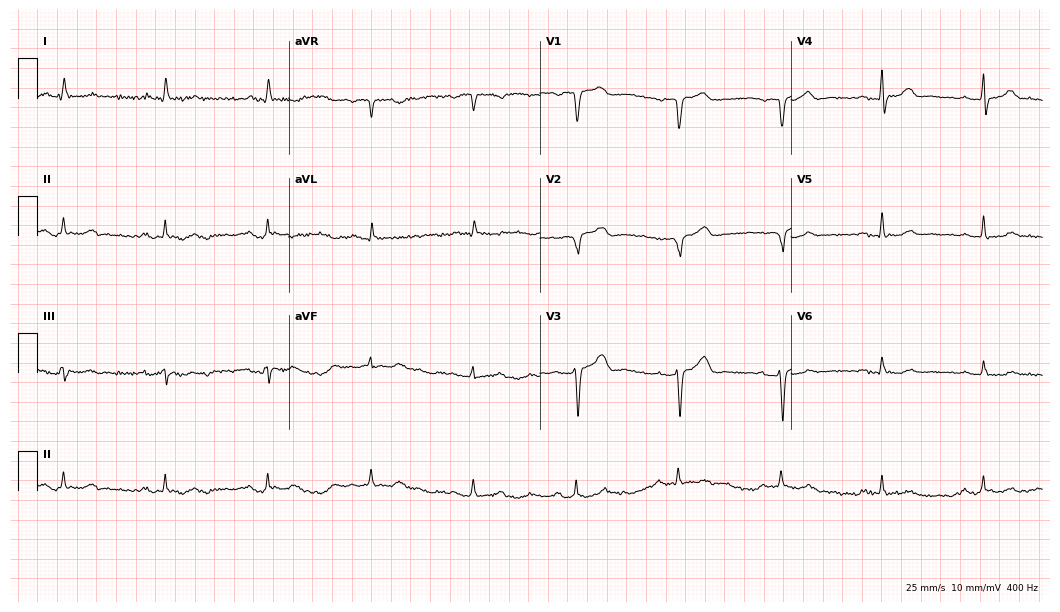
Resting 12-lead electrocardiogram (10.2-second recording at 400 Hz). Patient: a male, 58 years old. None of these six findings is recorded: first-degree AV block, right bundle branch block (RBBB), left bundle branch block (LBBB), sinus bradycardia, atrial fibrillation (AF), sinus tachycardia.